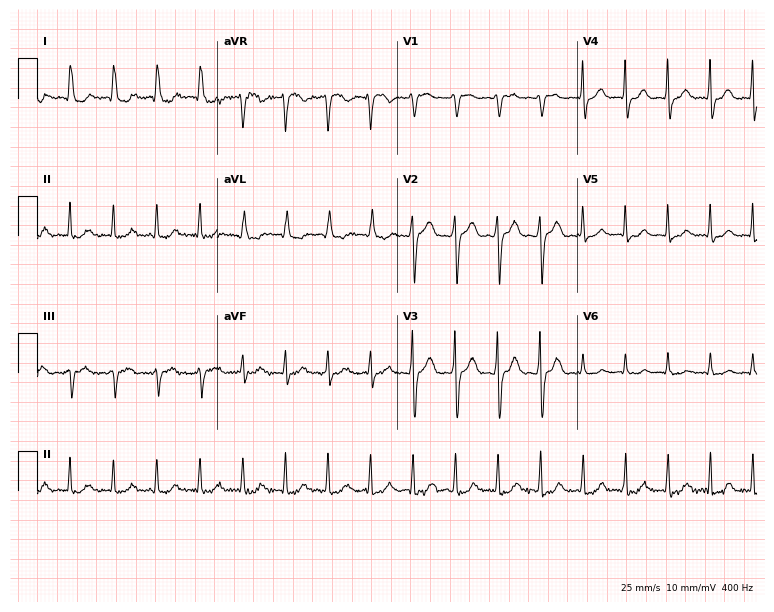
Standard 12-lead ECG recorded from a 53-year-old woman. None of these six findings is recorded: first-degree AV block, right bundle branch block, left bundle branch block, sinus bradycardia, atrial fibrillation, sinus tachycardia. Findings outside these six are not listed.